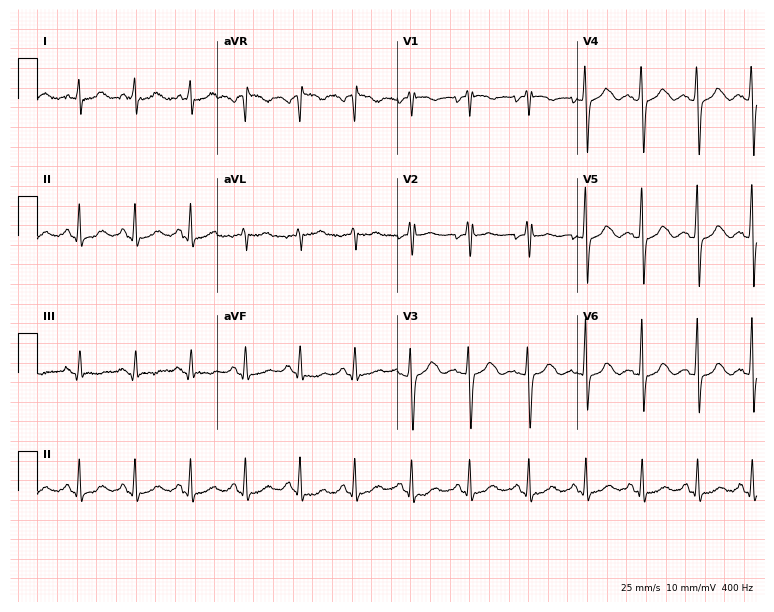
12-lead ECG from a 46-year-old female. Findings include sinus tachycardia (a sinus rate of 100 beats per minute or more).